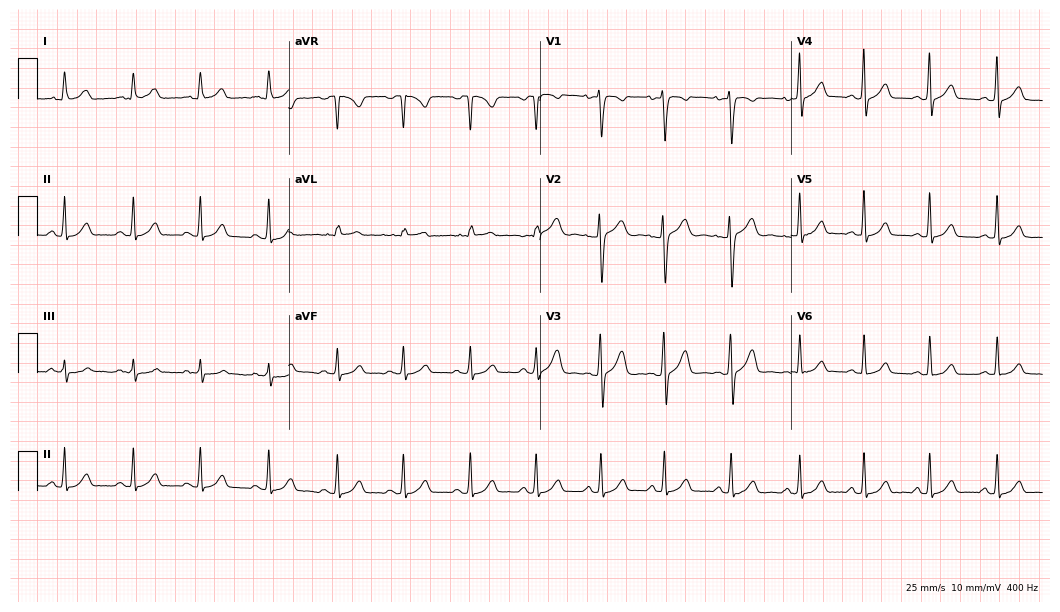
12-lead ECG from a 17-year-old woman. No first-degree AV block, right bundle branch block, left bundle branch block, sinus bradycardia, atrial fibrillation or sinus tachycardia recorded for this tracing.